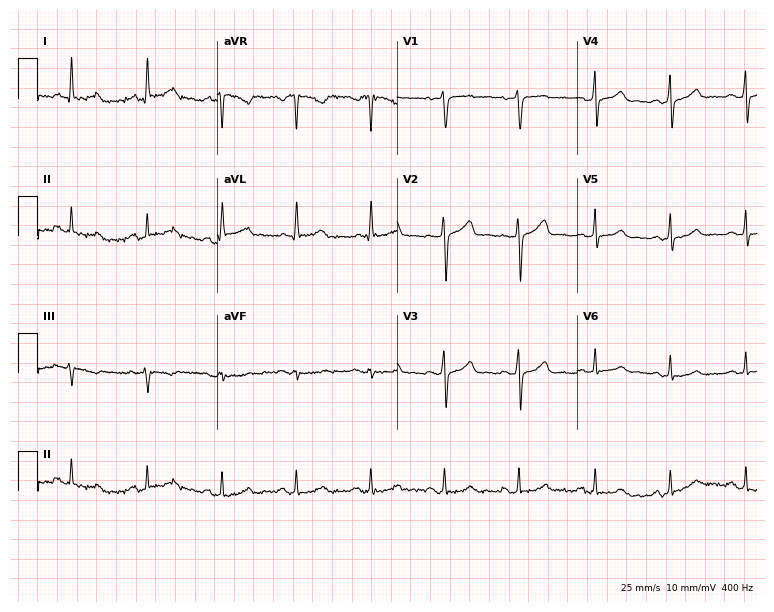
Resting 12-lead electrocardiogram. Patient: a woman, 41 years old. Read as a normal ECG.